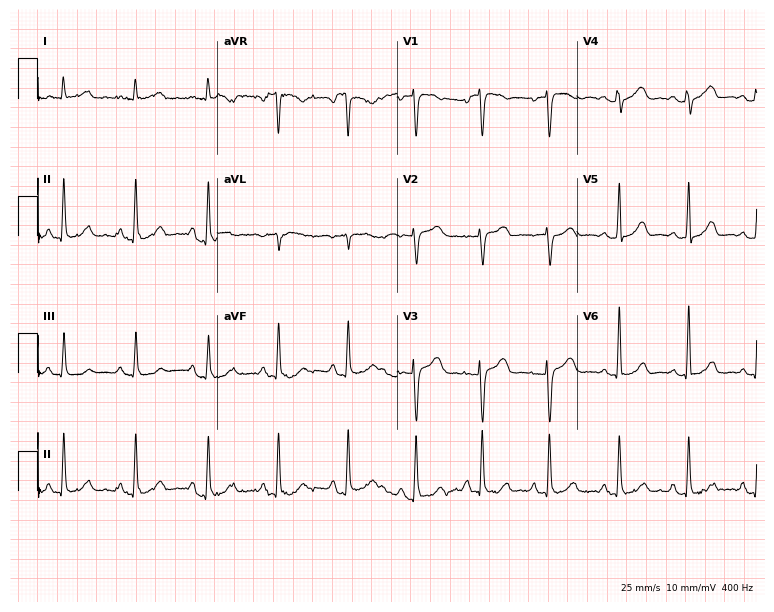
Standard 12-lead ECG recorded from a 47-year-old female patient (7.3-second recording at 400 Hz). Read as a normal ECG.